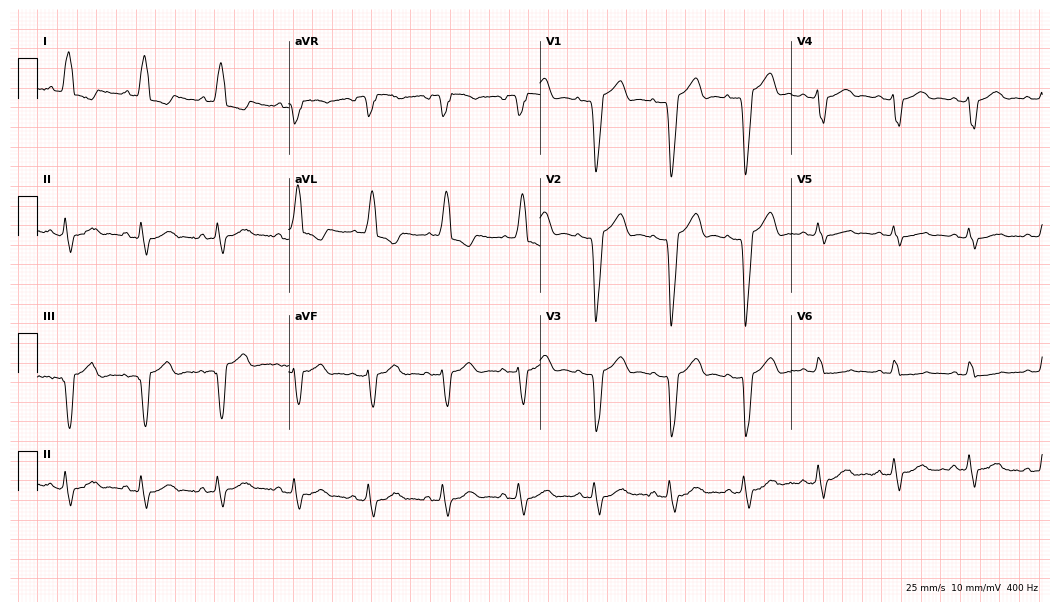
Standard 12-lead ECG recorded from a female, 62 years old (10.2-second recording at 400 Hz). The tracing shows left bundle branch block (LBBB).